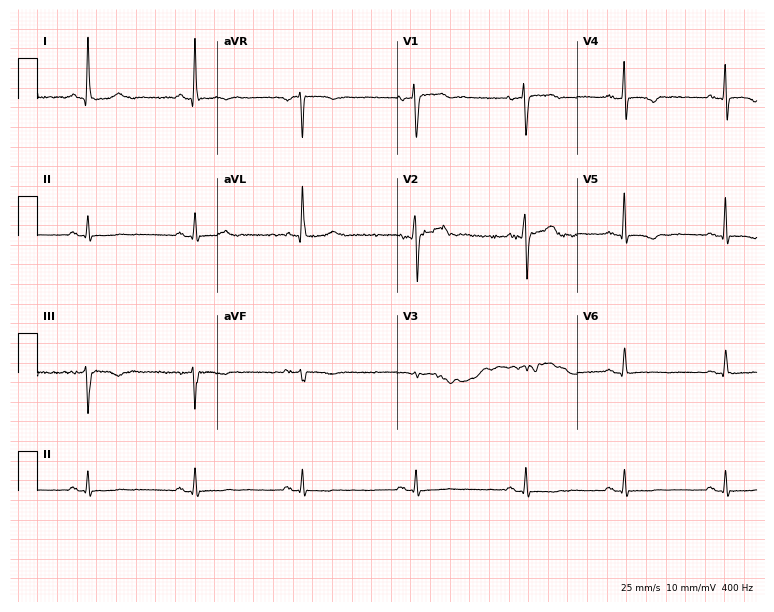
Resting 12-lead electrocardiogram (7.3-second recording at 400 Hz). Patient: a male, 44 years old. None of these six findings is recorded: first-degree AV block, right bundle branch block, left bundle branch block, sinus bradycardia, atrial fibrillation, sinus tachycardia.